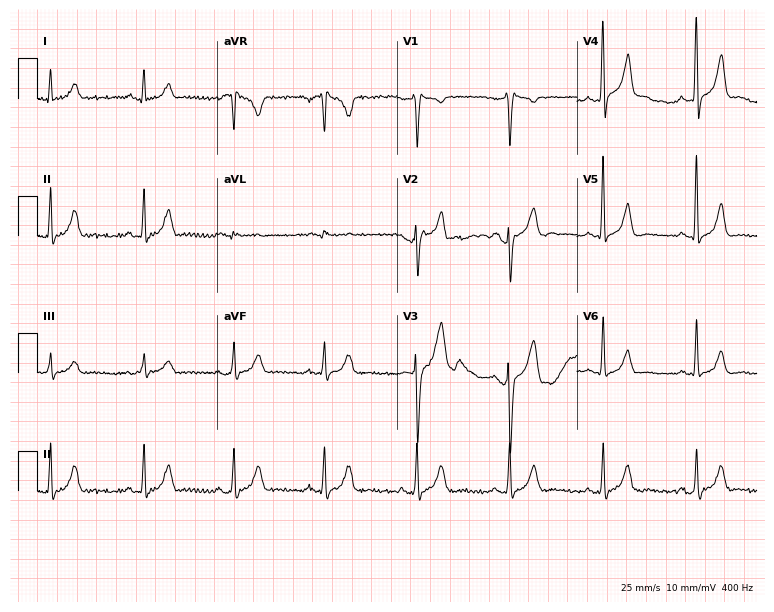
ECG — a male, 39 years old. Screened for six findings — first-degree AV block, right bundle branch block (RBBB), left bundle branch block (LBBB), sinus bradycardia, atrial fibrillation (AF), sinus tachycardia — none is recorded. Other findings, if any, are not listed.